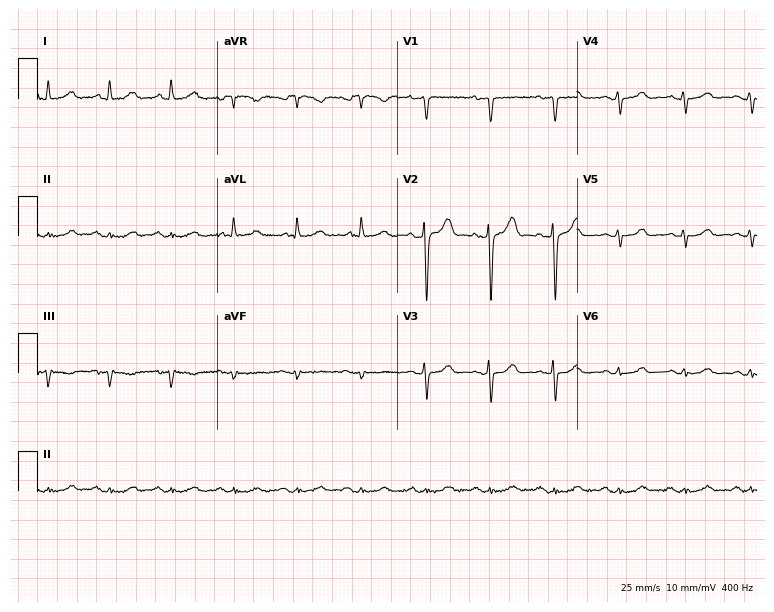
12-lead ECG from a male patient, 80 years old. Screened for six findings — first-degree AV block, right bundle branch block, left bundle branch block, sinus bradycardia, atrial fibrillation, sinus tachycardia — none is recorded. Findings outside these six are not listed.